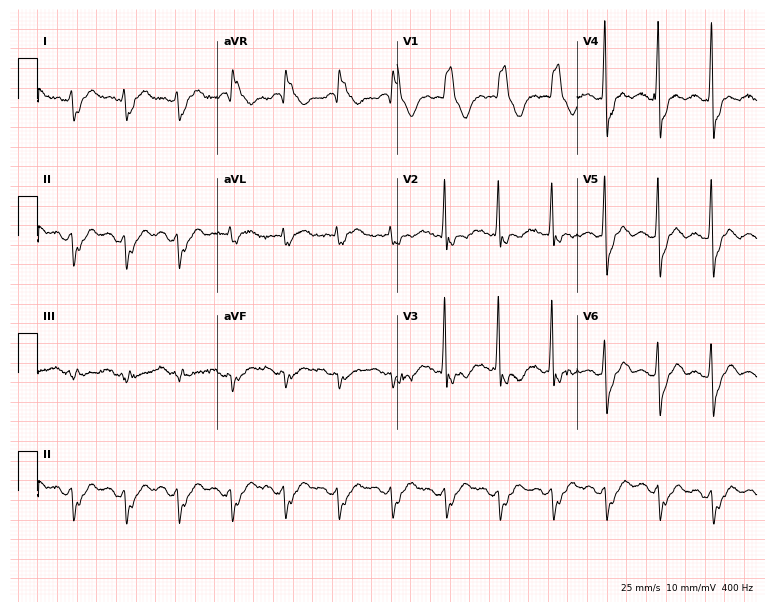
Electrocardiogram (7.3-second recording at 400 Hz), a 75-year-old male. Interpretation includes right bundle branch block (RBBB), sinus tachycardia (a sinus rate of 100 beats per minute or more).